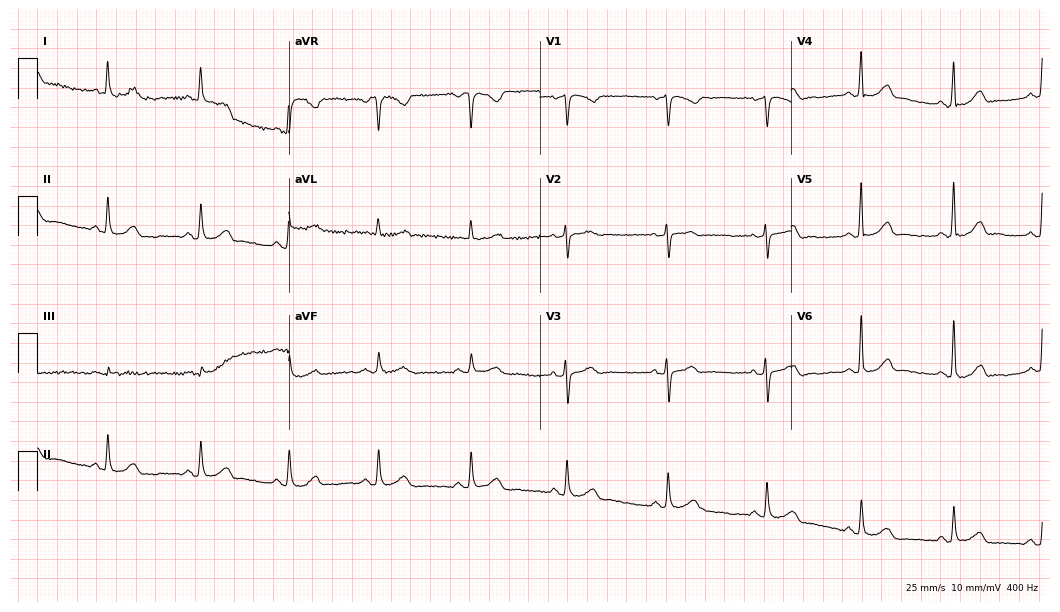
ECG — a 60-year-old woman. Labelled as a normal ECG.